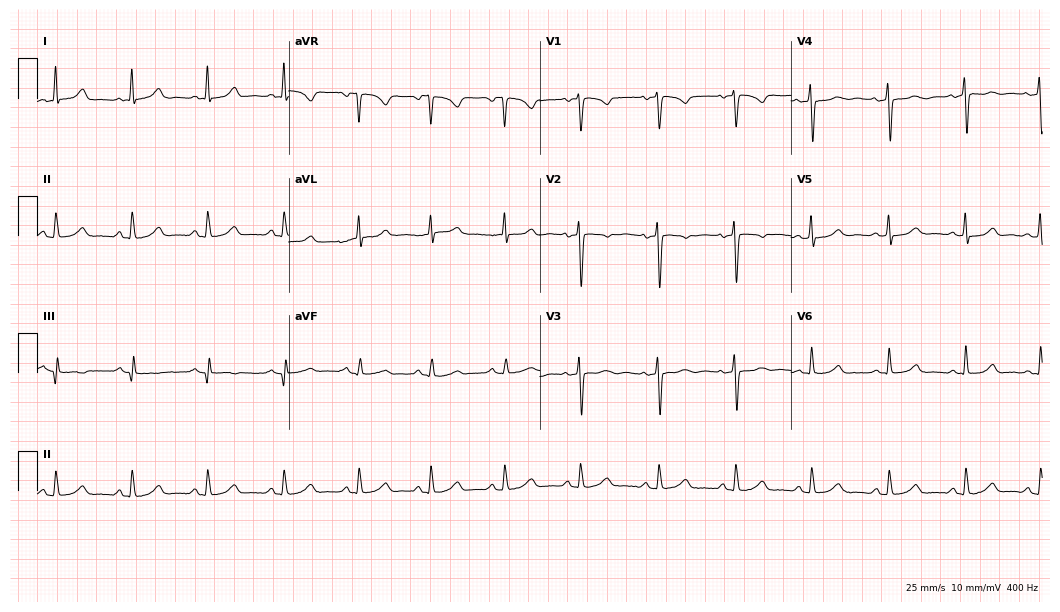
ECG (10.2-second recording at 400 Hz) — a 22-year-old woman. Labelled as a normal ECG.